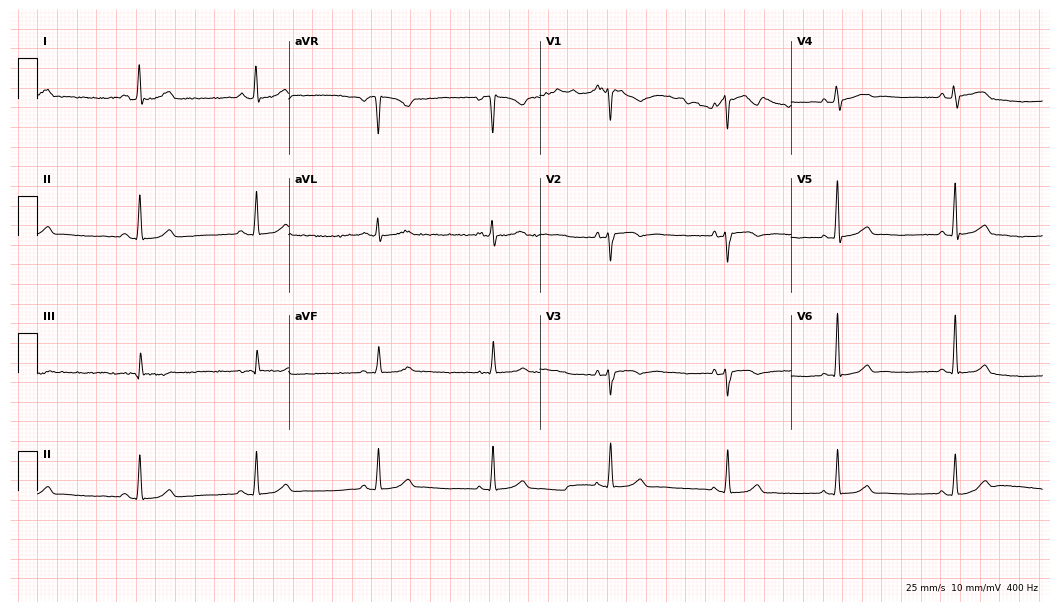
Resting 12-lead electrocardiogram (10.2-second recording at 400 Hz). Patient: a 57-year-old female. Read as a normal ECG.